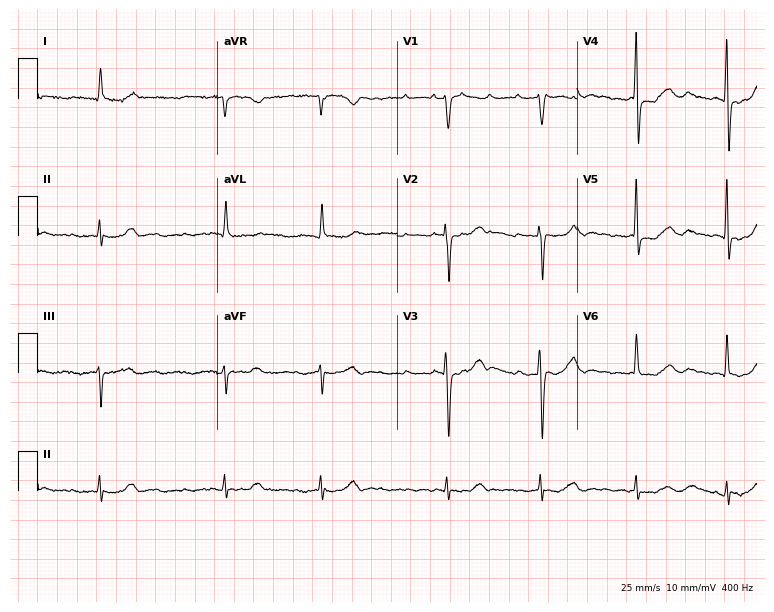
Resting 12-lead electrocardiogram (7.3-second recording at 400 Hz). Patient: an 82-year-old man. The tracing shows atrial fibrillation.